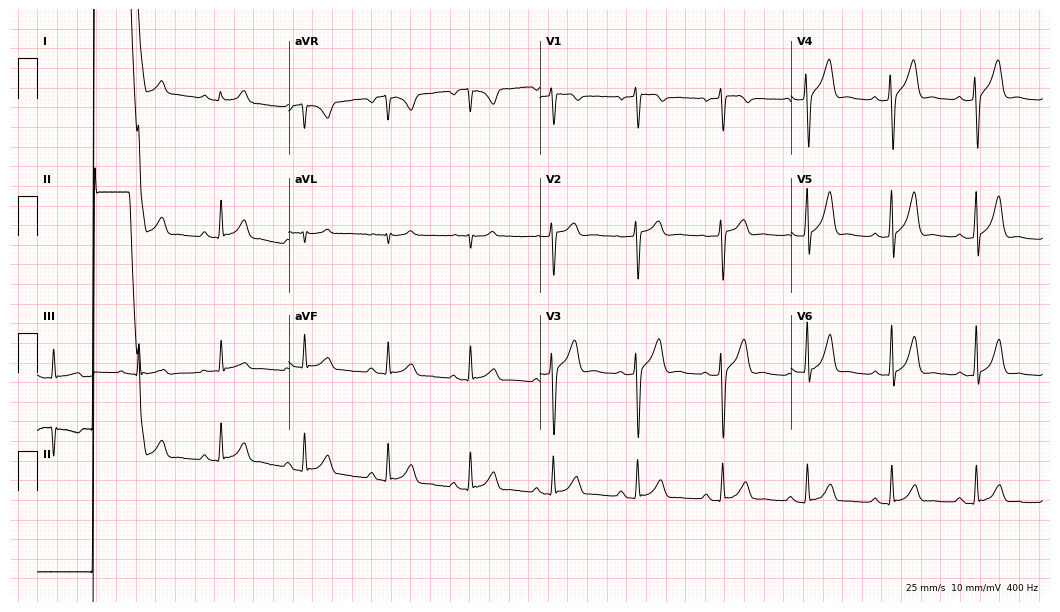
12-lead ECG from a male, 34 years old. Screened for six findings — first-degree AV block, right bundle branch block, left bundle branch block, sinus bradycardia, atrial fibrillation, sinus tachycardia — none is recorded.